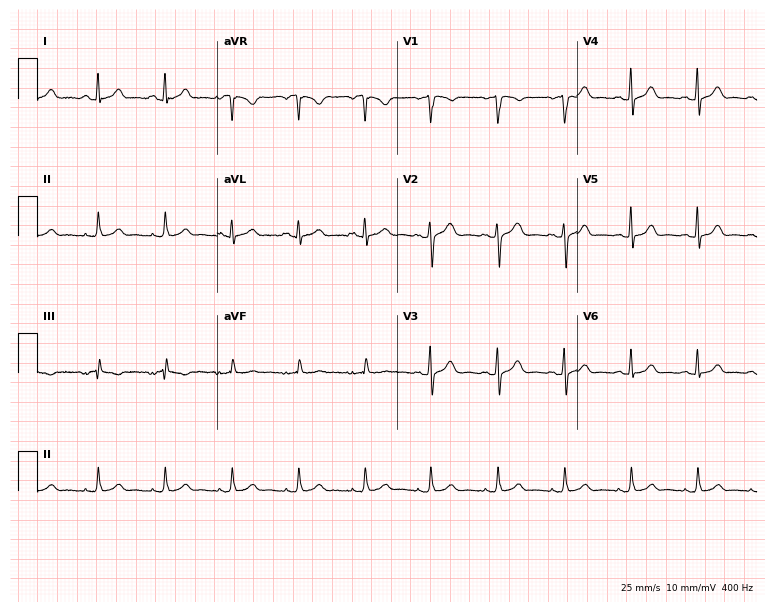
12-lead ECG from a female patient, 61 years old (7.3-second recording at 400 Hz). Recorded interpretation: within normal limits.